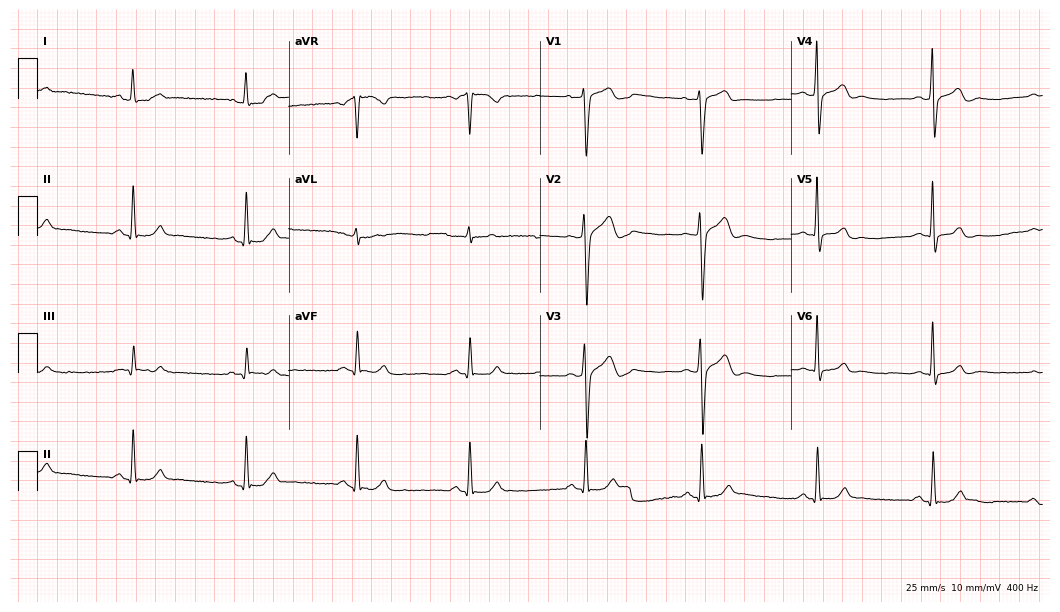
Resting 12-lead electrocardiogram. Patient: a 65-year-old male. None of these six findings is recorded: first-degree AV block, right bundle branch block, left bundle branch block, sinus bradycardia, atrial fibrillation, sinus tachycardia.